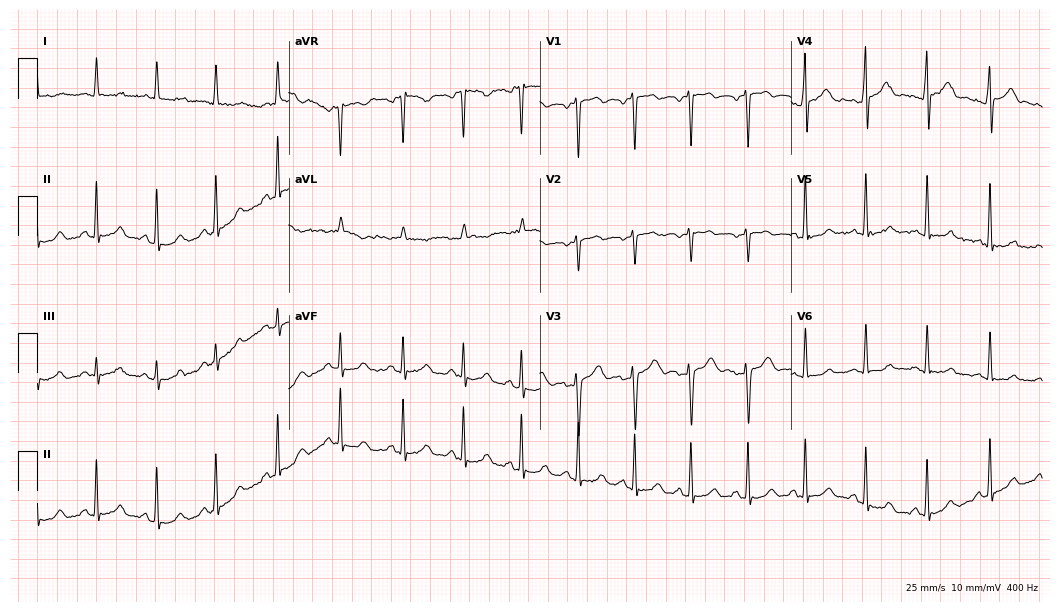
Resting 12-lead electrocardiogram. Patient: a male, 20 years old. Read as a normal ECG.